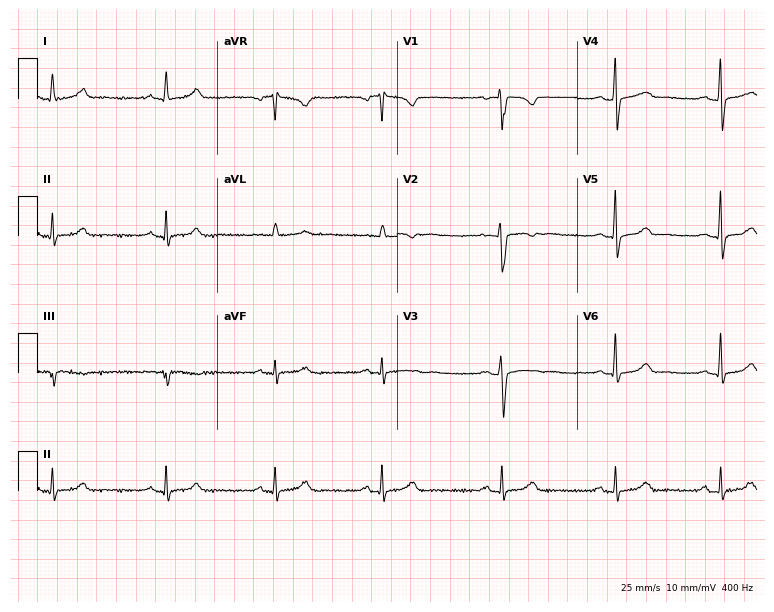
Standard 12-lead ECG recorded from a woman, 31 years old. None of these six findings is recorded: first-degree AV block, right bundle branch block (RBBB), left bundle branch block (LBBB), sinus bradycardia, atrial fibrillation (AF), sinus tachycardia. Only these six findings were labelled.